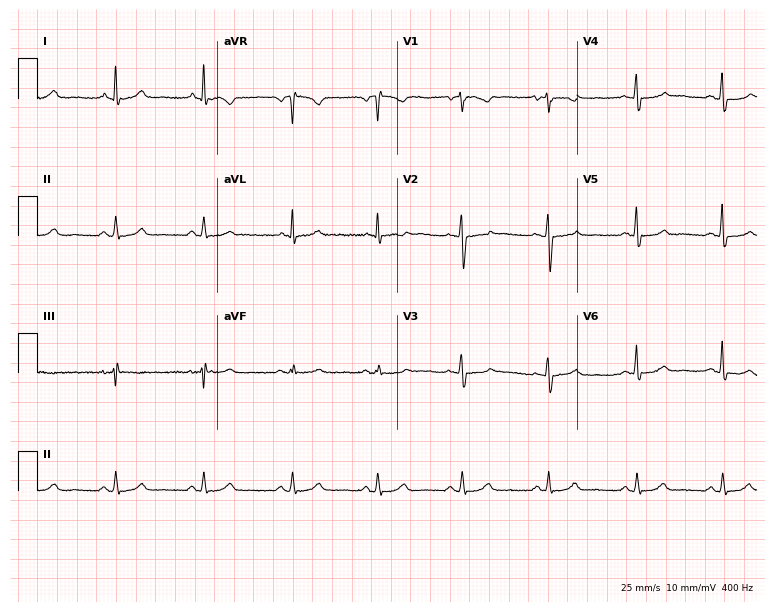
Electrocardiogram (7.3-second recording at 400 Hz), a 52-year-old female patient. Of the six screened findings (first-degree AV block, right bundle branch block (RBBB), left bundle branch block (LBBB), sinus bradycardia, atrial fibrillation (AF), sinus tachycardia), none is recorded.